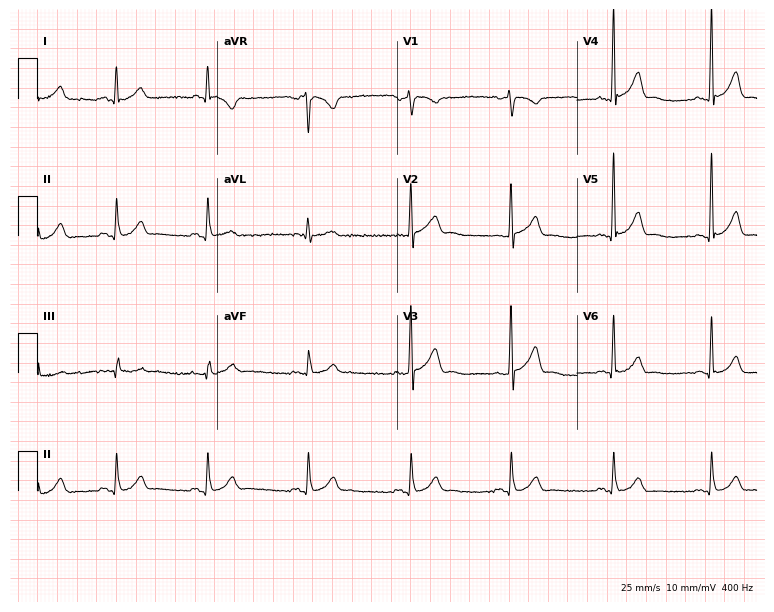
Standard 12-lead ECG recorded from a 59-year-old male (7.3-second recording at 400 Hz). None of these six findings is recorded: first-degree AV block, right bundle branch block (RBBB), left bundle branch block (LBBB), sinus bradycardia, atrial fibrillation (AF), sinus tachycardia. Findings outside these six are not listed.